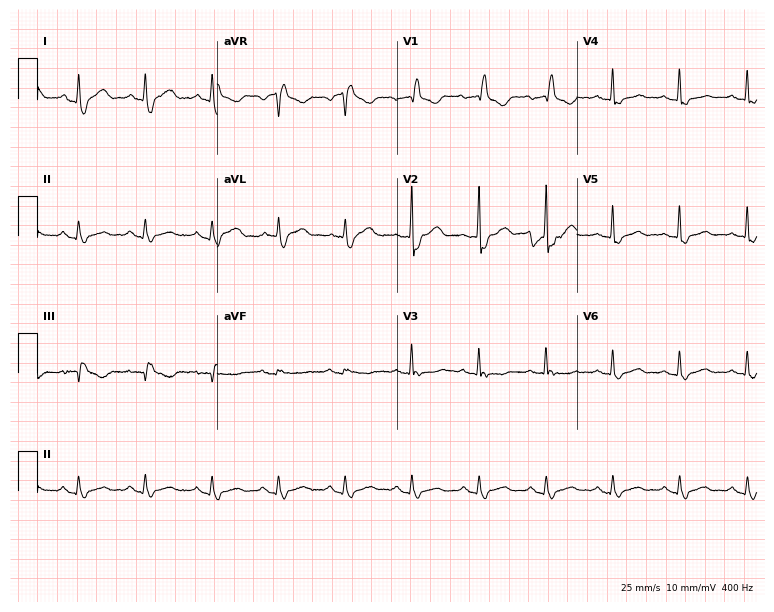
Electrocardiogram, a woman, 65 years old. Interpretation includes right bundle branch block (RBBB).